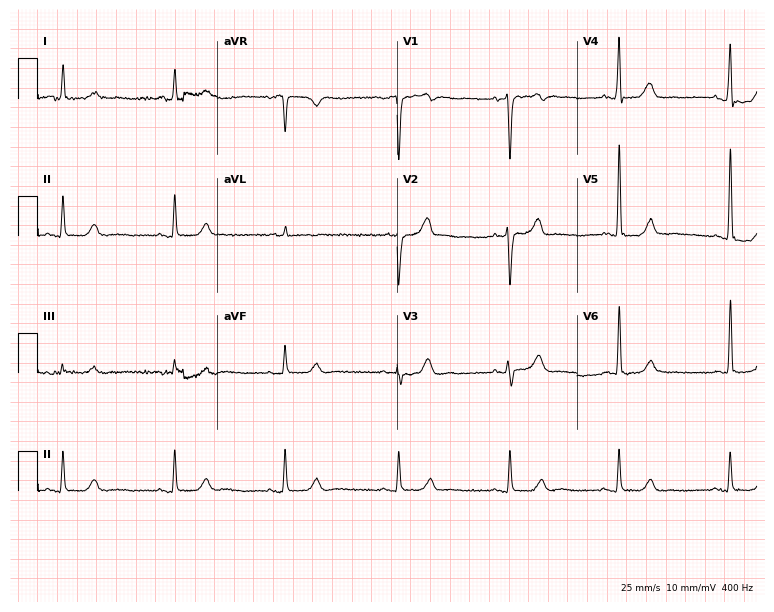
12-lead ECG from a female patient, 75 years old. No first-degree AV block, right bundle branch block, left bundle branch block, sinus bradycardia, atrial fibrillation or sinus tachycardia recorded for this tracing. Other findings, if any, are not listed.